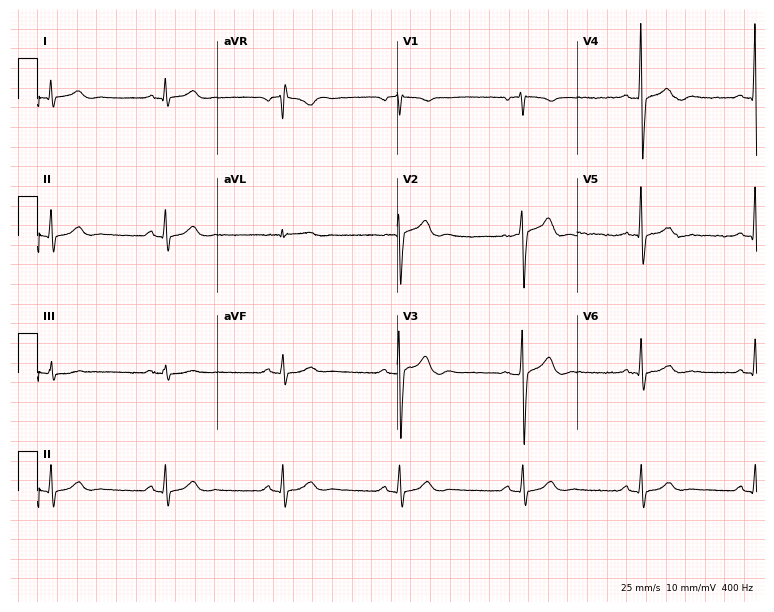
12-lead ECG from a 39-year-old male patient (7.3-second recording at 400 Hz). No first-degree AV block, right bundle branch block, left bundle branch block, sinus bradycardia, atrial fibrillation or sinus tachycardia recorded for this tracing. Findings outside these six are not listed.